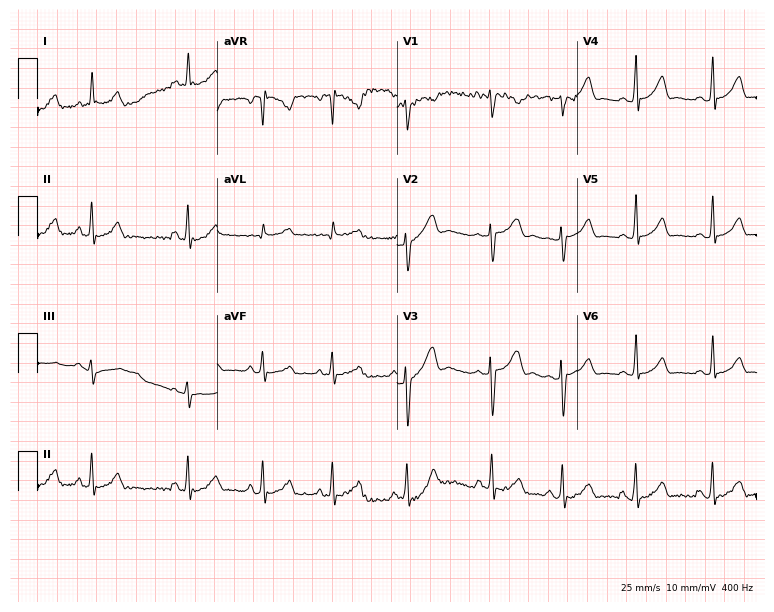
12-lead ECG from a female patient, 24 years old. No first-degree AV block, right bundle branch block, left bundle branch block, sinus bradycardia, atrial fibrillation or sinus tachycardia recorded for this tracing. Other findings, if any, are not listed.